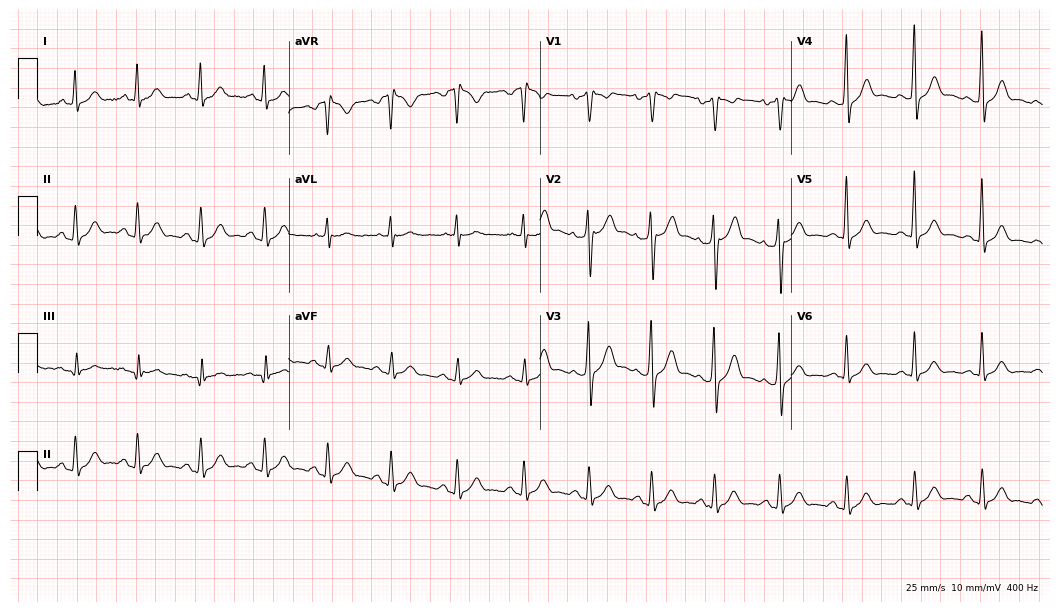
Resting 12-lead electrocardiogram. Patient: a man, 41 years old. Read as a normal ECG.